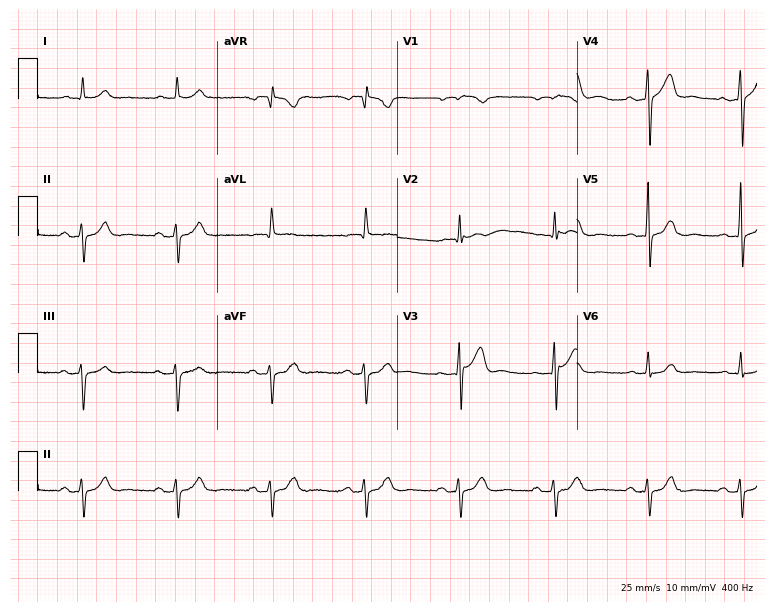
ECG — a man, 71 years old. Screened for six findings — first-degree AV block, right bundle branch block, left bundle branch block, sinus bradycardia, atrial fibrillation, sinus tachycardia — none is recorded.